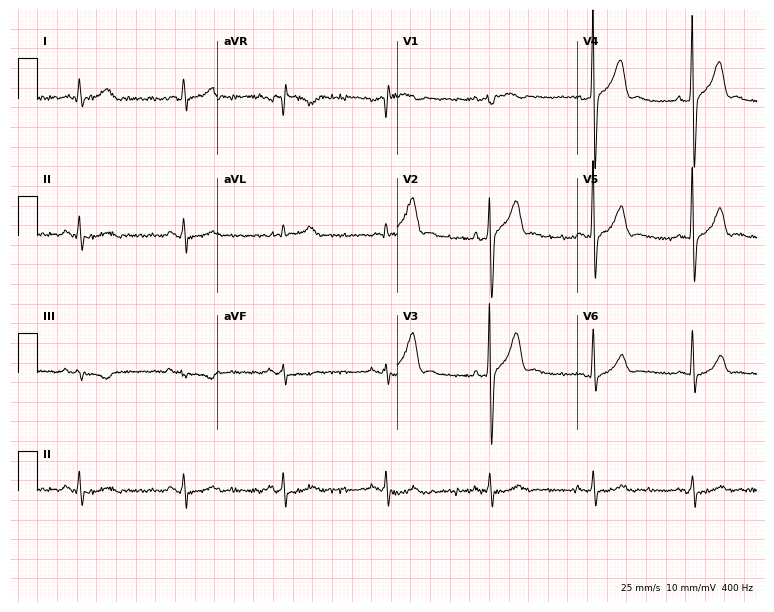
Resting 12-lead electrocardiogram. Patient: a 63-year-old man. None of these six findings is recorded: first-degree AV block, right bundle branch block, left bundle branch block, sinus bradycardia, atrial fibrillation, sinus tachycardia. Only these six findings were labelled.